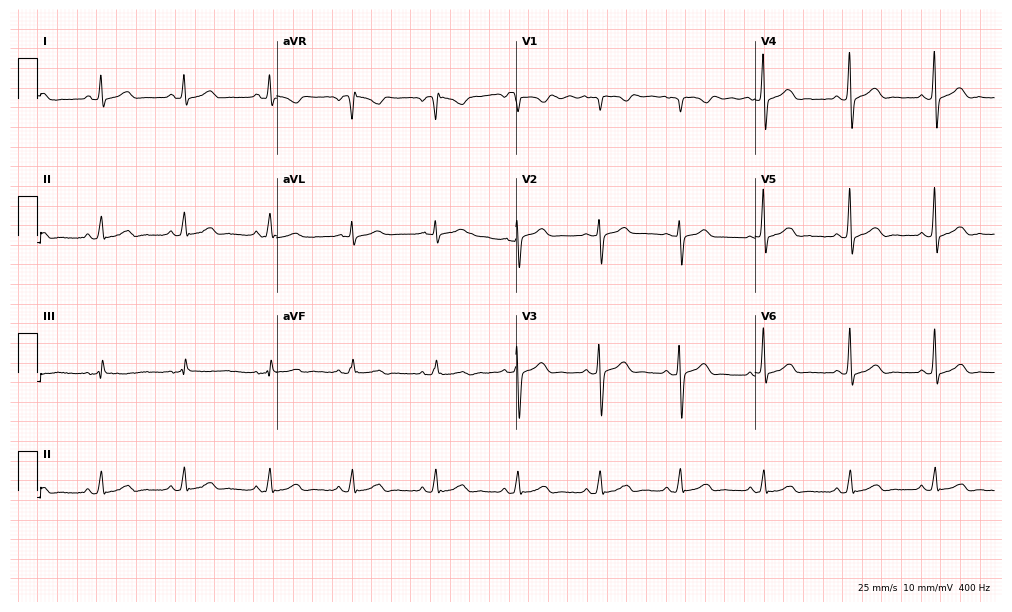
12-lead ECG (9.8-second recording at 400 Hz) from a 46-year-old female patient. Labelled as a normal ECG.